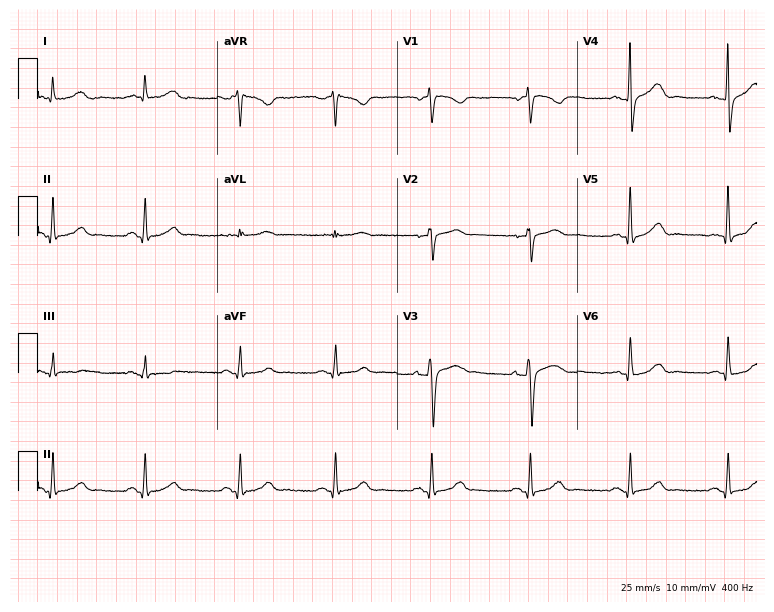
Electrocardiogram, a 61-year-old man. Overall reading on record: normal ECG.